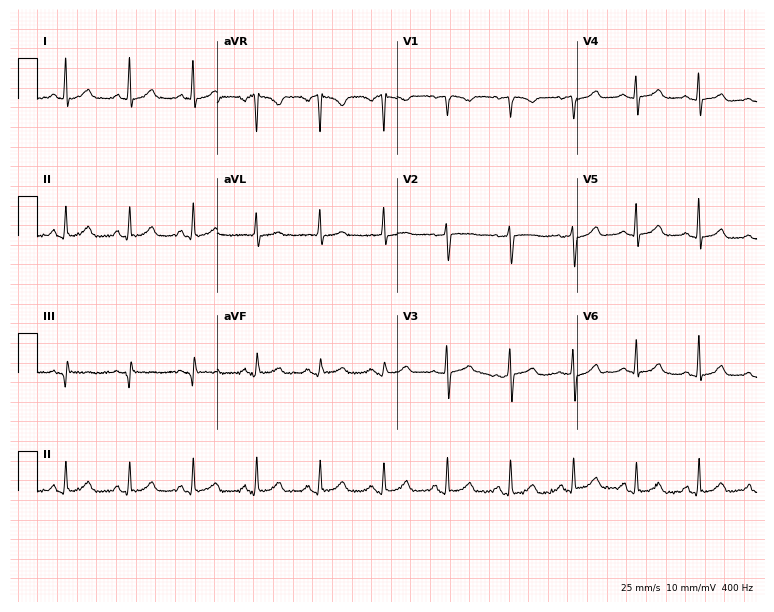
Electrocardiogram, a female, 60 years old. Overall reading on record: normal ECG.